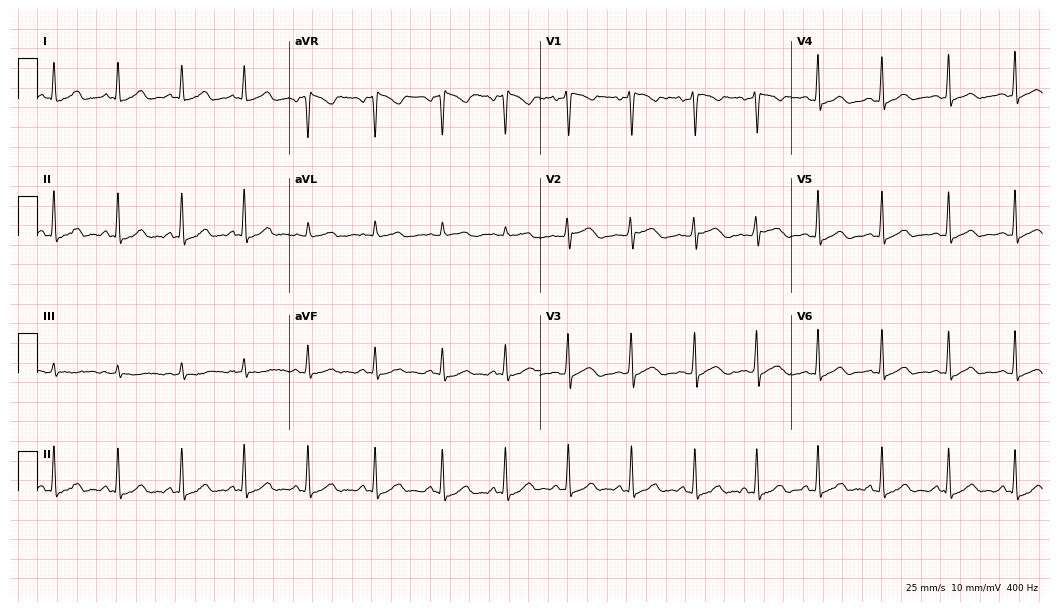
12-lead ECG from a woman, 30 years old. Labelled as a normal ECG.